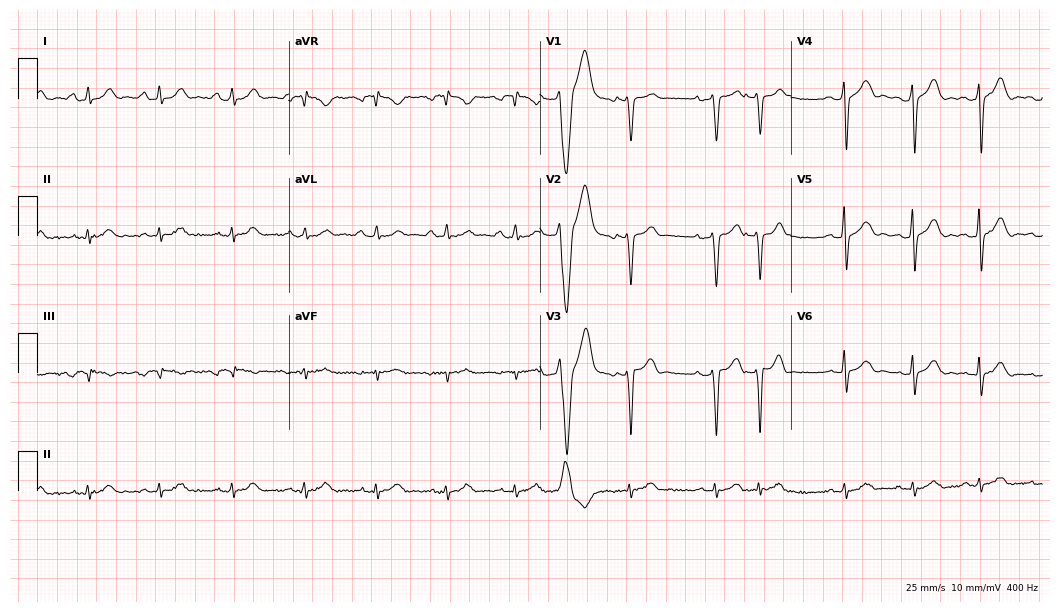
Electrocardiogram, a male patient, 54 years old. Of the six screened findings (first-degree AV block, right bundle branch block (RBBB), left bundle branch block (LBBB), sinus bradycardia, atrial fibrillation (AF), sinus tachycardia), none is recorded. Other findings, if any, are not listed.